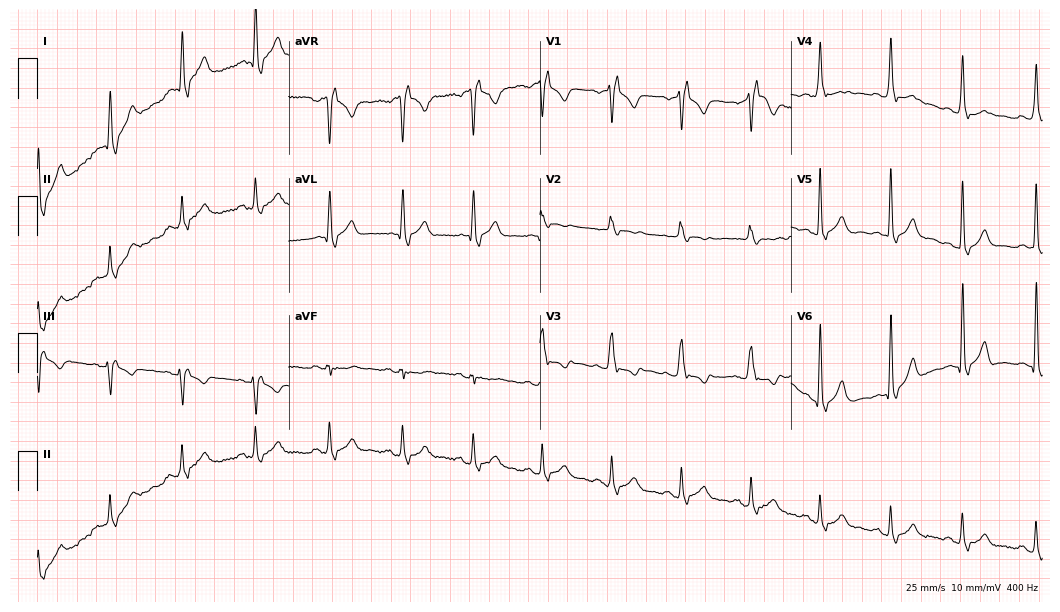
Electrocardiogram (10.2-second recording at 400 Hz), a 30-year-old male. Interpretation includes right bundle branch block.